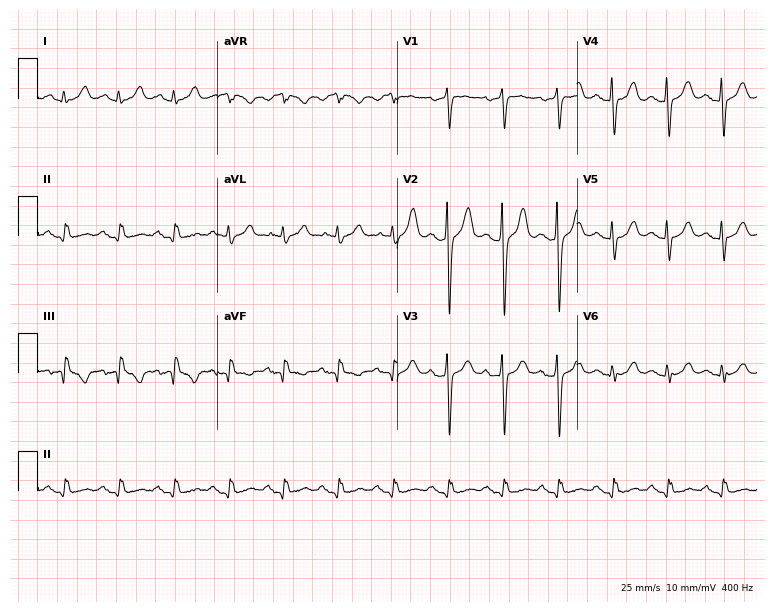
12-lead ECG from a woman, 82 years old. Shows sinus tachycardia (a sinus rate of 100 beats per minute or more).